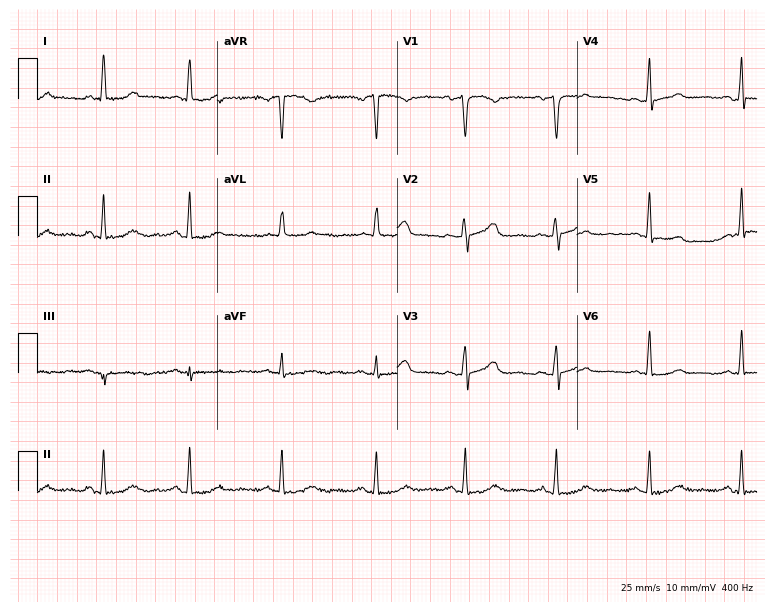
12-lead ECG from a 55-year-old female. No first-degree AV block, right bundle branch block (RBBB), left bundle branch block (LBBB), sinus bradycardia, atrial fibrillation (AF) or sinus tachycardia recorded for this tracing.